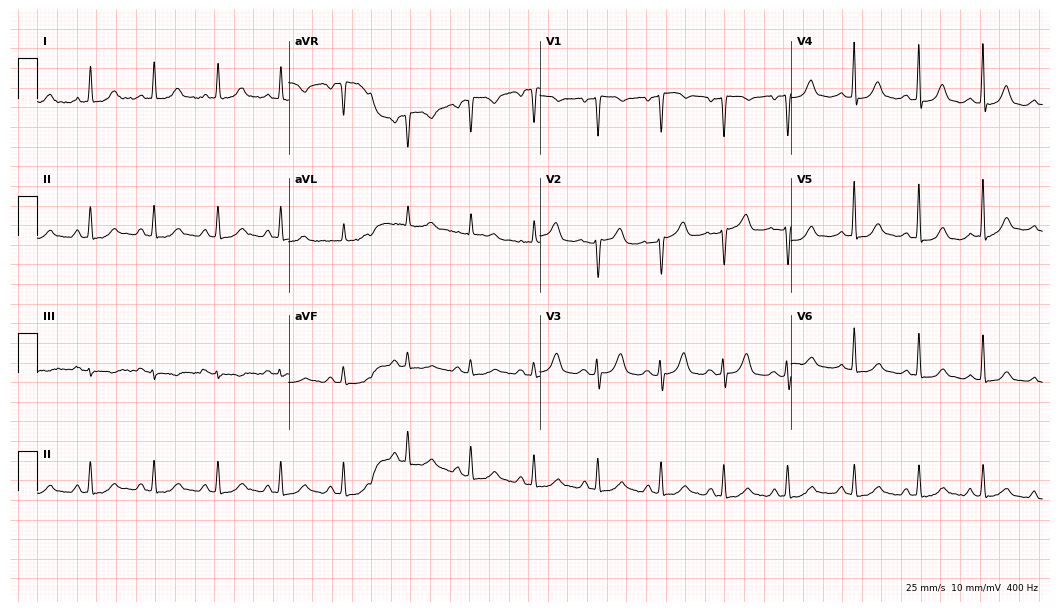
12-lead ECG (10.2-second recording at 400 Hz) from a female patient, 72 years old. Labelled as a normal ECG.